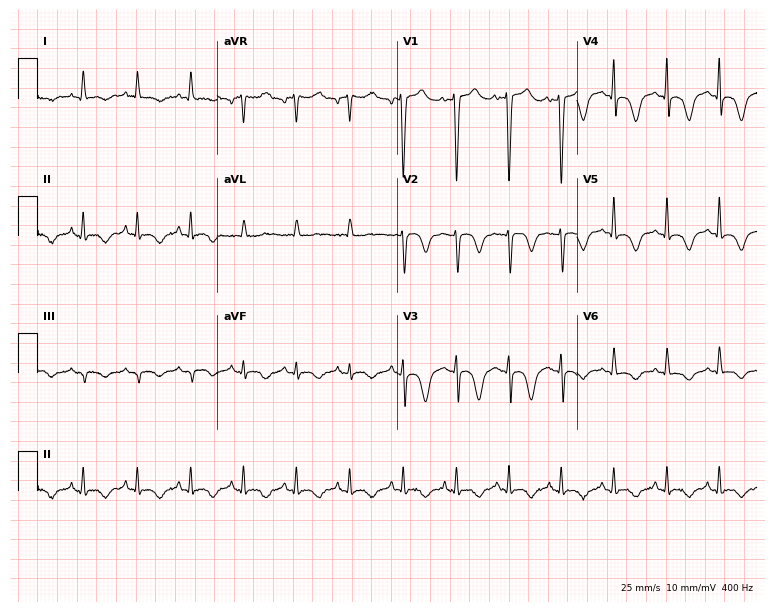
12-lead ECG from an 80-year-old female (7.3-second recording at 400 Hz). Shows sinus tachycardia (a sinus rate of 100 beats per minute or more).